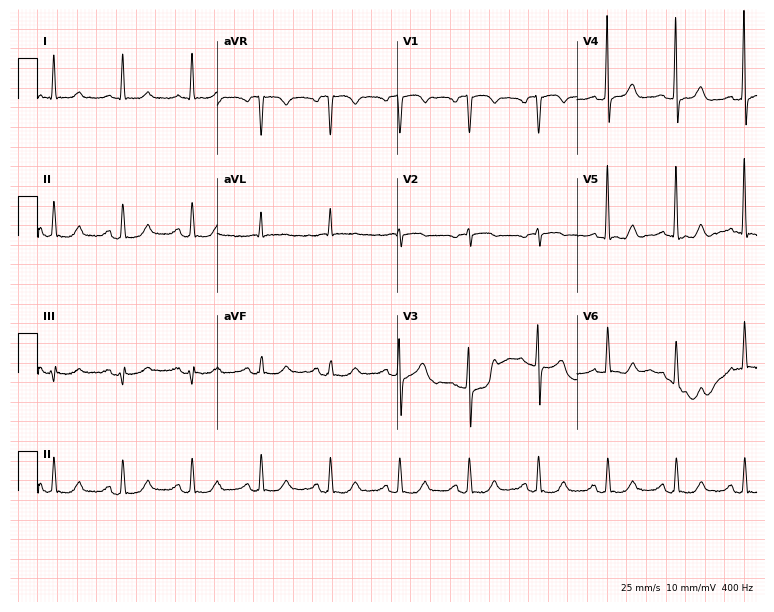
ECG (7.3-second recording at 400 Hz) — a 66-year-old man. Screened for six findings — first-degree AV block, right bundle branch block (RBBB), left bundle branch block (LBBB), sinus bradycardia, atrial fibrillation (AF), sinus tachycardia — none is recorded. Only these six findings were labelled.